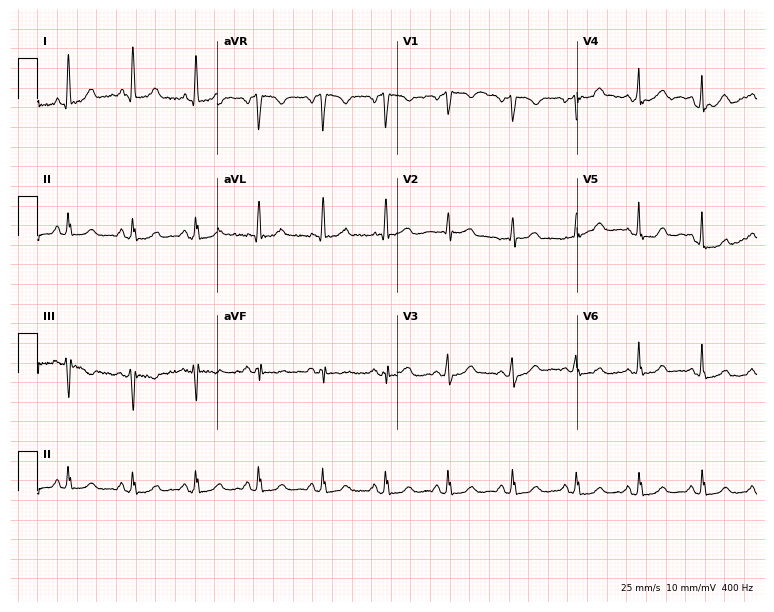
12-lead ECG from a 65-year-old woman. Recorded interpretation: within normal limits.